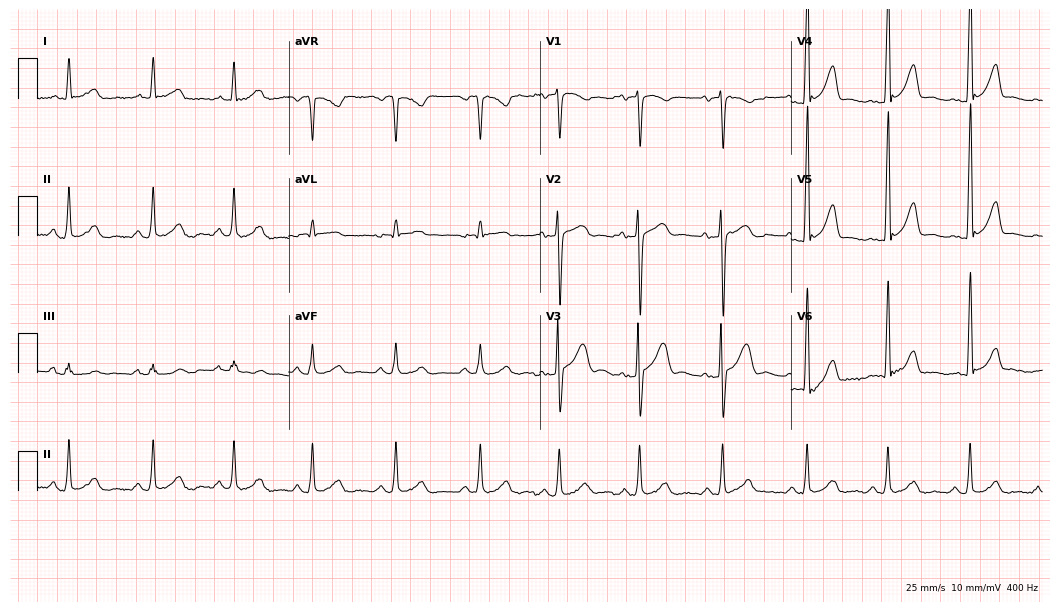
12-lead ECG (10.2-second recording at 400 Hz) from a 32-year-old male. Screened for six findings — first-degree AV block, right bundle branch block (RBBB), left bundle branch block (LBBB), sinus bradycardia, atrial fibrillation (AF), sinus tachycardia — none is recorded.